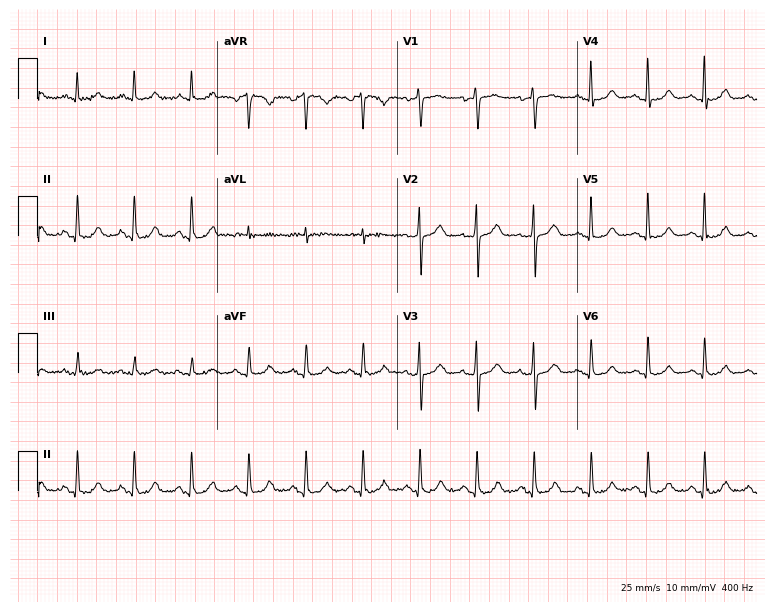
ECG (7.3-second recording at 400 Hz) — a 74-year-old woman. Labelled as a normal ECG.